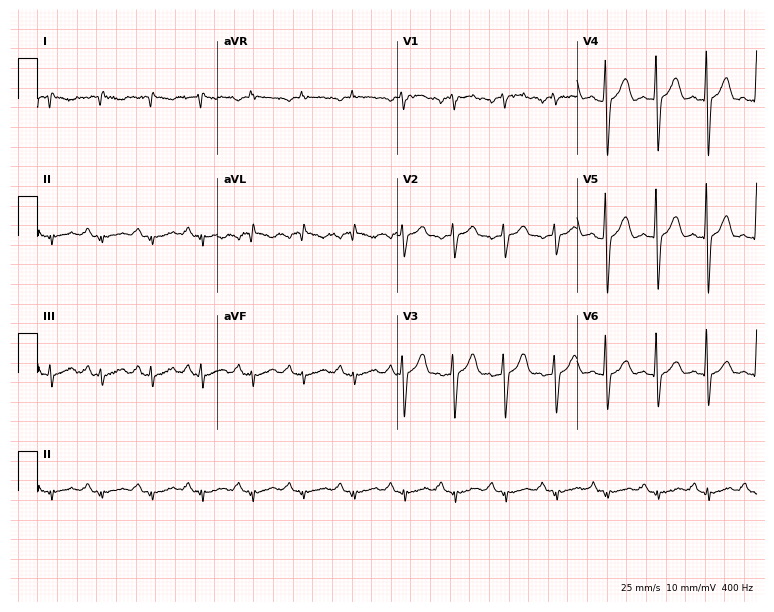
12-lead ECG from a male, 68 years old (7.3-second recording at 400 Hz). No first-degree AV block, right bundle branch block (RBBB), left bundle branch block (LBBB), sinus bradycardia, atrial fibrillation (AF) or sinus tachycardia recorded for this tracing.